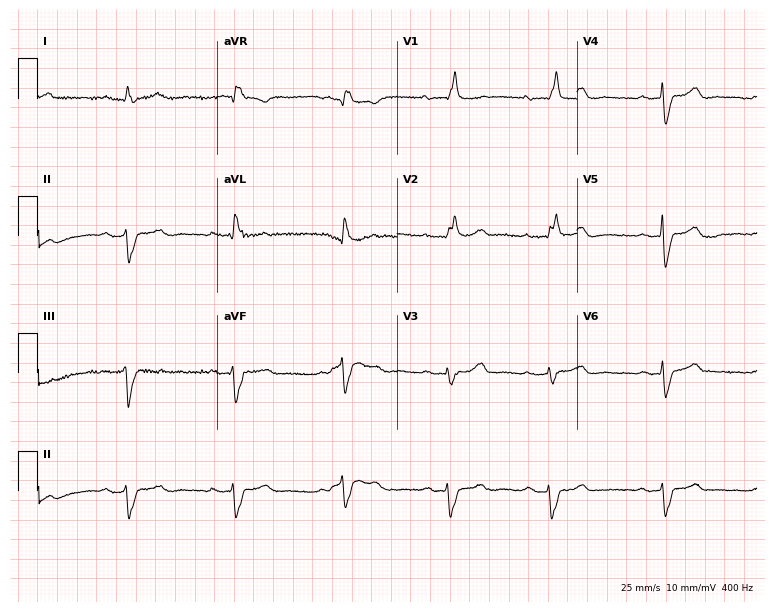
Resting 12-lead electrocardiogram. Patient: a woman, 78 years old. None of these six findings is recorded: first-degree AV block, right bundle branch block (RBBB), left bundle branch block (LBBB), sinus bradycardia, atrial fibrillation (AF), sinus tachycardia. Findings outside these six are not listed.